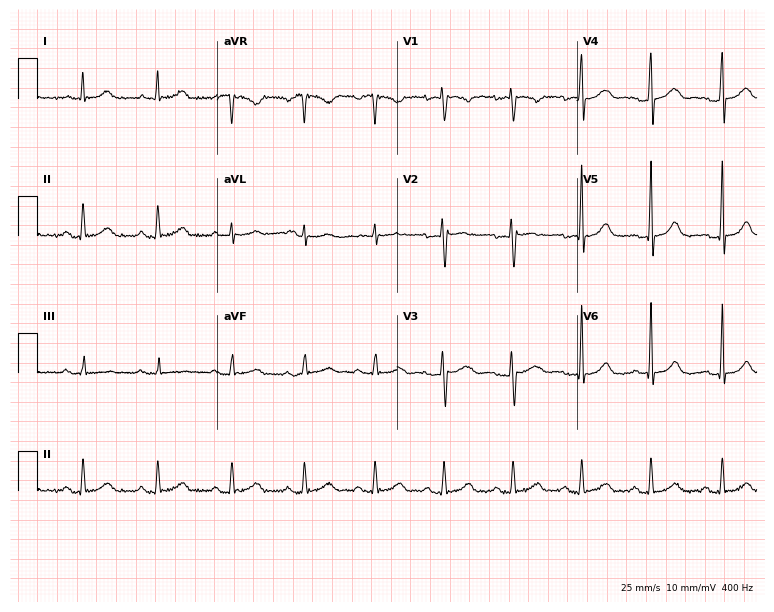
12-lead ECG (7.3-second recording at 400 Hz) from a 38-year-old woman. Screened for six findings — first-degree AV block, right bundle branch block, left bundle branch block, sinus bradycardia, atrial fibrillation, sinus tachycardia — none is recorded.